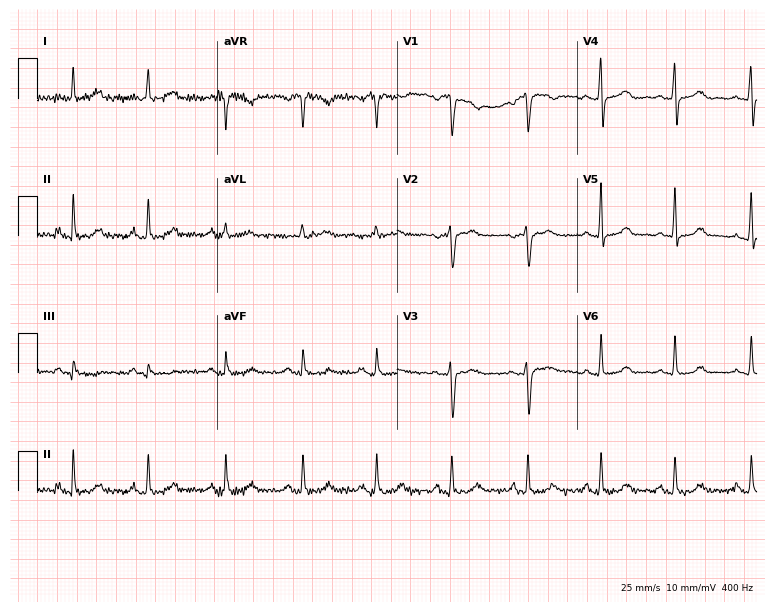
ECG (7.3-second recording at 400 Hz) — a 34-year-old female. Screened for six findings — first-degree AV block, right bundle branch block, left bundle branch block, sinus bradycardia, atrial fibrillation, sinus tachycardia — none is recorded. Other findings, if any, are not listed.